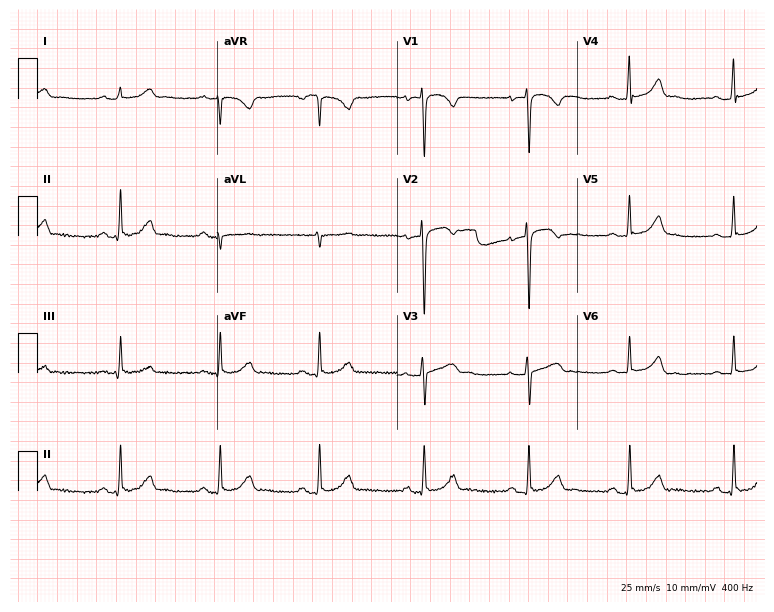
Electrocardiogram, a 29-year-old female. Overall reading on record: normal ECG.